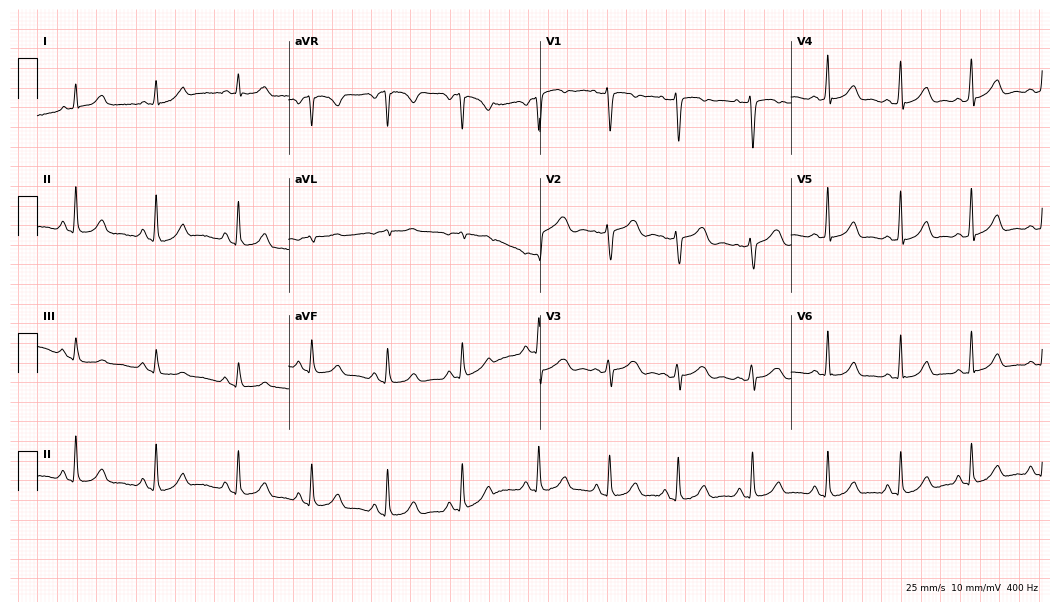
Resting 12-lead electrocardiogram. Patient: a woman, 39 years old. None of these six findings is recorded: first-degree AV block, right bundle branch block (RBBB), left bundle branch block (LBBB), sinus bradycardia, atrial fibrillation (AF), sinus tachycardia. Other findings, if any, are not listed.